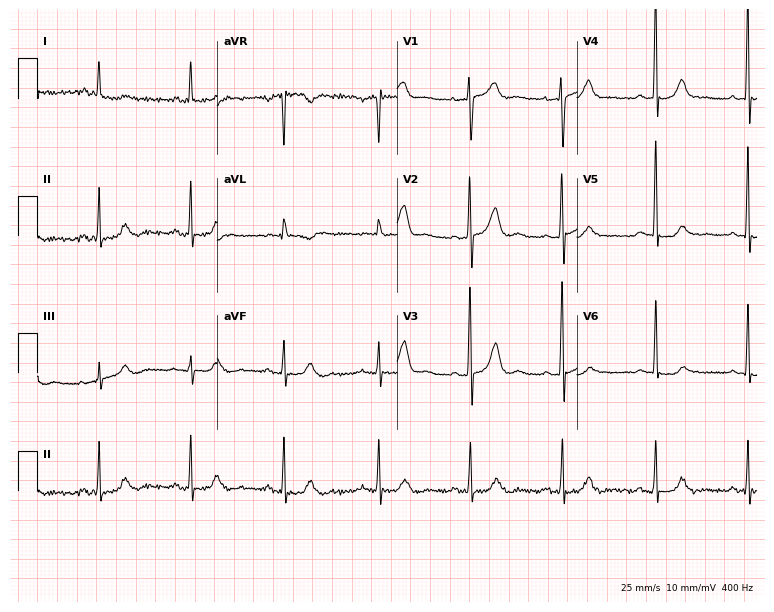
ECG (7.3-second recording at 400 Hz) — a 65-year-old woman. Labelled as a normal ECG.